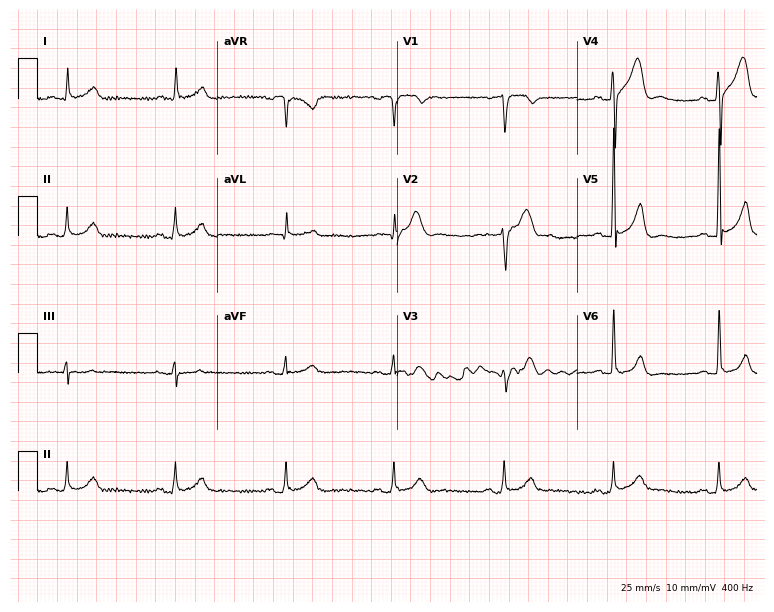
ECG — a 54-year-old man. Labelled as a normal ECG.